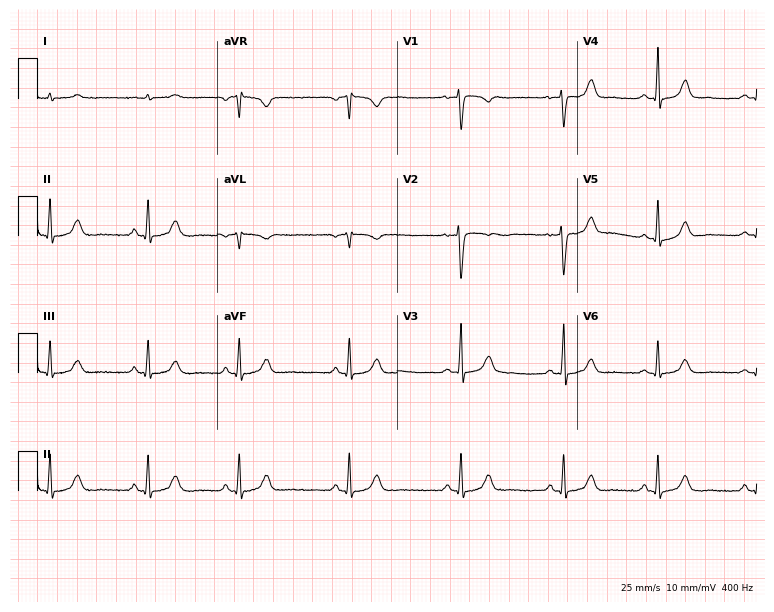
12-lead ECG from a woman, 30 years old (7.3-second recording at 400 Hz). Recorded interpretation: within normal limits.